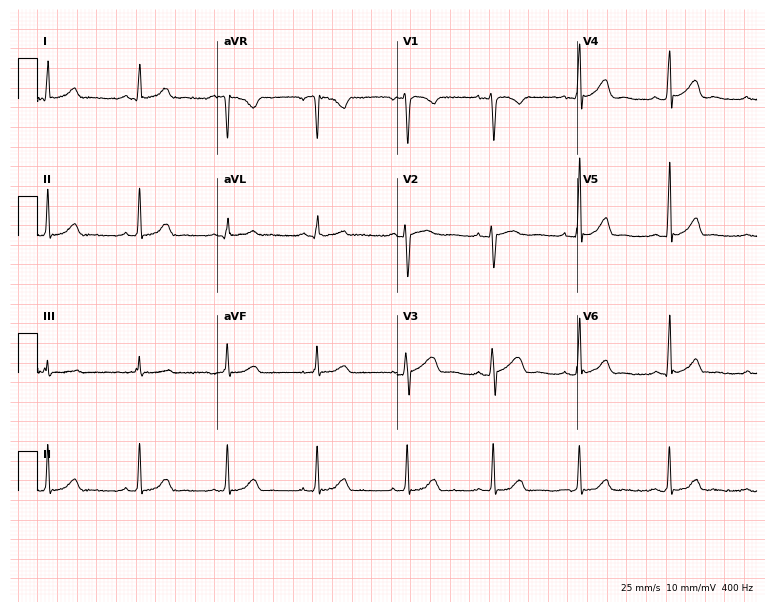
ECG — a 26-year-old female. Labelled as a normal ECG.